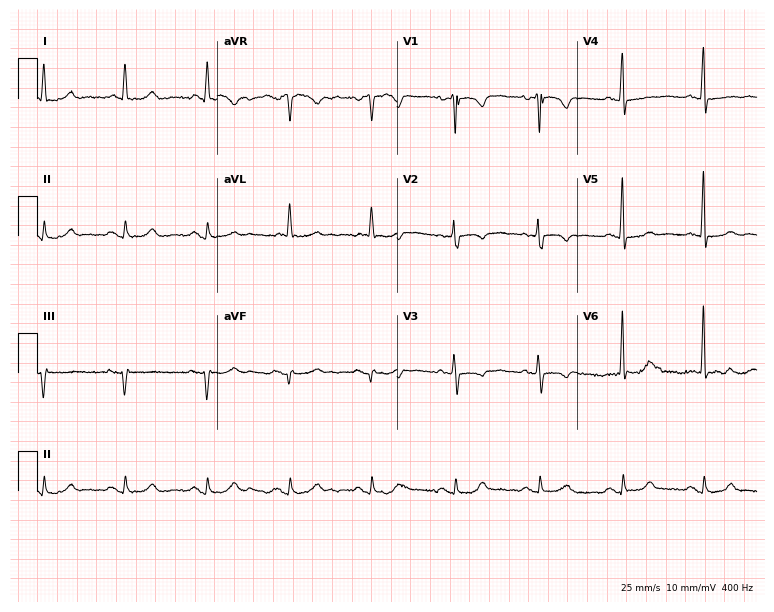
Resting 12-lead electrocardiogram. Patient: a 59-year-old woman. None of these six findings is recorded: first-degree AV block, right bundle branch block (RBBB), left bundle branch block (LBBB), sinus bradycardia, atrial fibrillation (AF), sinus tachycardia. Only these six findings were labelled.